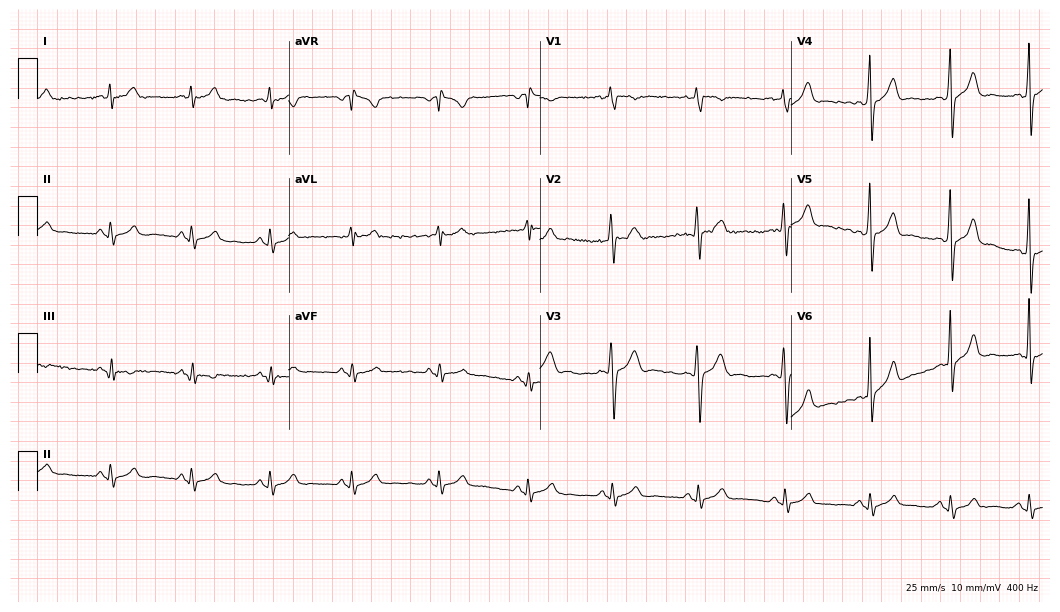
12-lead ECG (10.2-second recording at 400 Hz) from a 28-year-old man. Labelled as a normal ECG.